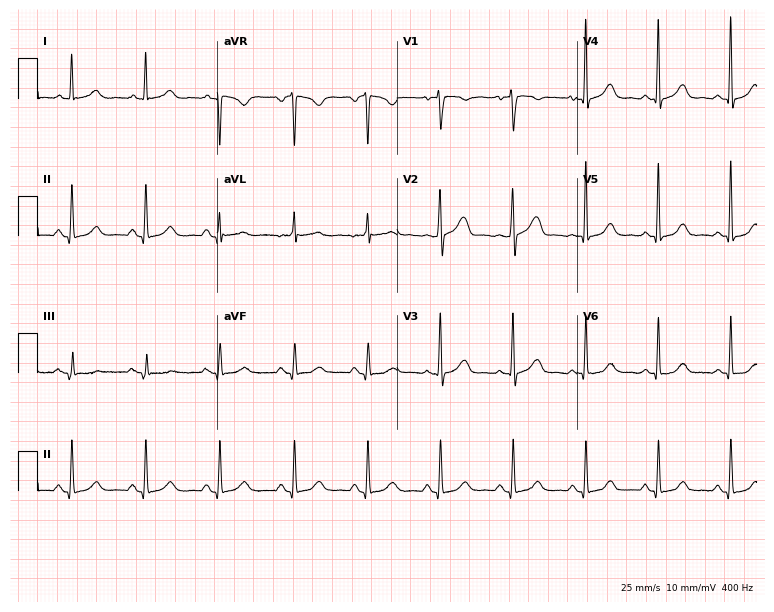
ECG — a 53-year-old female patient. Labelled as a normal ECG.